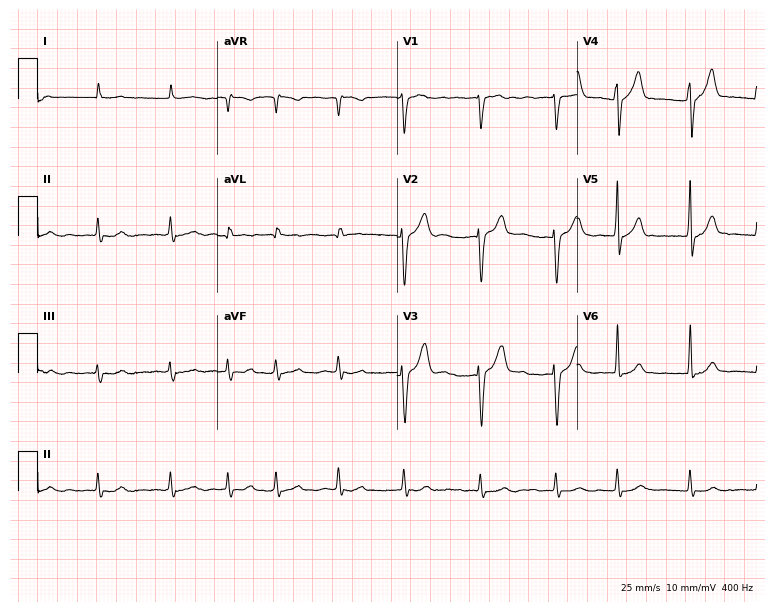
12-lead ECG from a male patient, 83 years old (7.3-second recording at 400 Hz). Shows atrial fibrillation (AF).